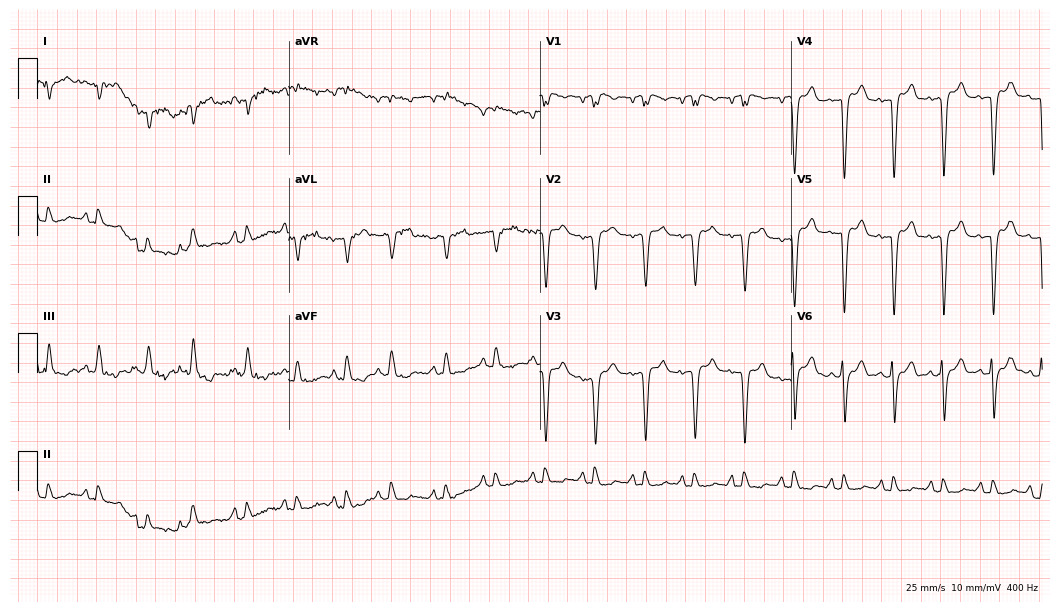
Standard 12-lead ECG recorded from a man, 73 years old. None of these six findings is recorded: first-degree AV block, right bundle branch block (RBBB), left bundle branch block (LBBB), sinus bradycardia, atrial fibrillation (AF), sinus tachycardia.